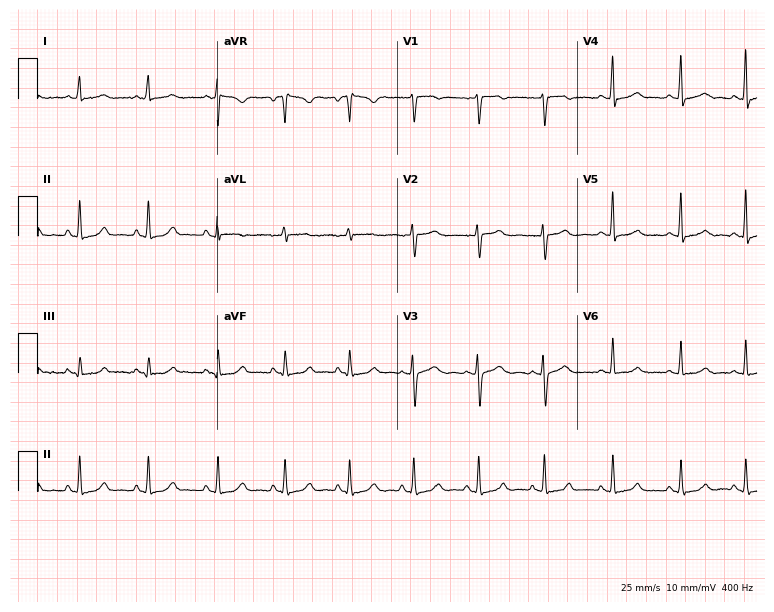
Standard 12-lead ECG recorded from a 21-year-old female patient (7.3-second recording at 400 Hz). None of these six findings is recorded: first-degree AV block, right bundle branch block, left bundle branch block, sinus bradycardia, atrial fibrillation, sinus tachycardia. Only these six findings were labelled.